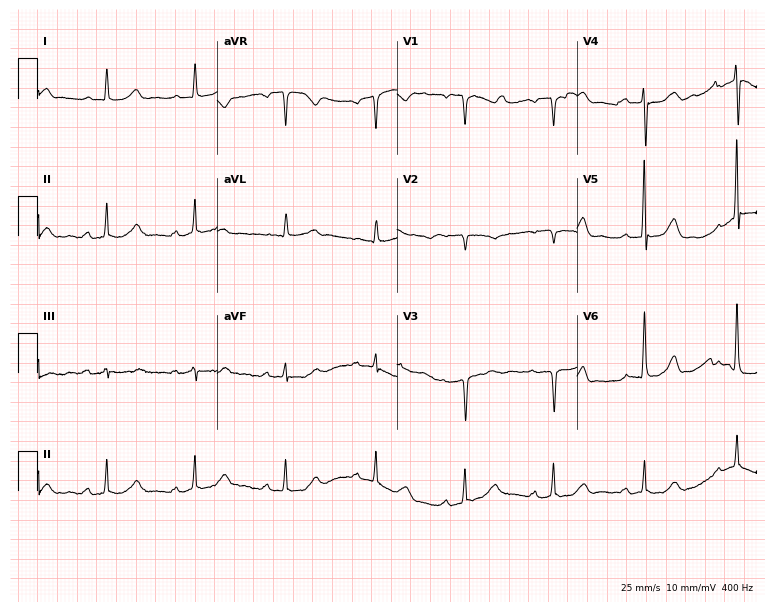
12-lead ECG from a woman, 63 years old. Screened for six findings — first-degree AV block, right bundle branch block (RBBB), left bundle branch block (LBBB), sinus bradycardia, atrial fibrillation (AF), sinus tachycardia — none is recorded. Other findings, if any, are not listed.